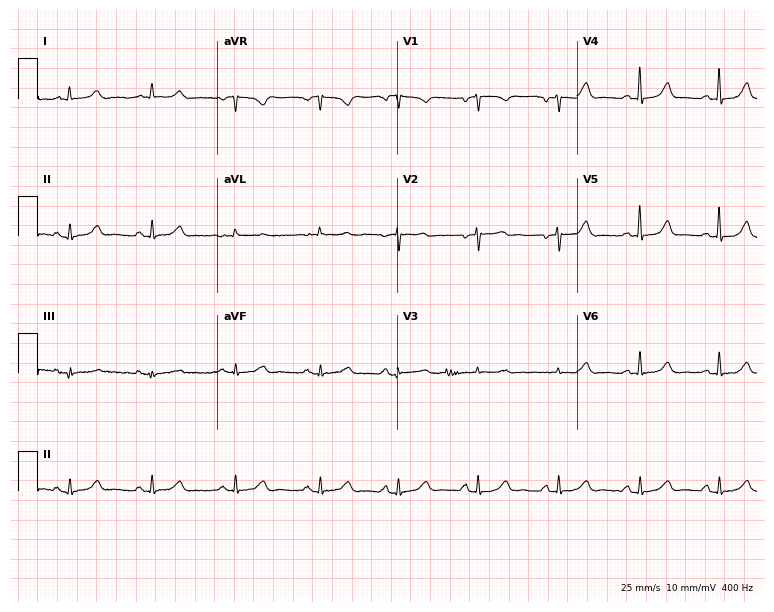
12-lead ECG (7.3-second recording at 400 Hz) from a male patient, 50 years old. Screened for six findings — first-degree AV block, right bundle branch block, left bundle branch block, sinus bradycardia, atrial fibrillation, sinus tachycardia — none is recorded.